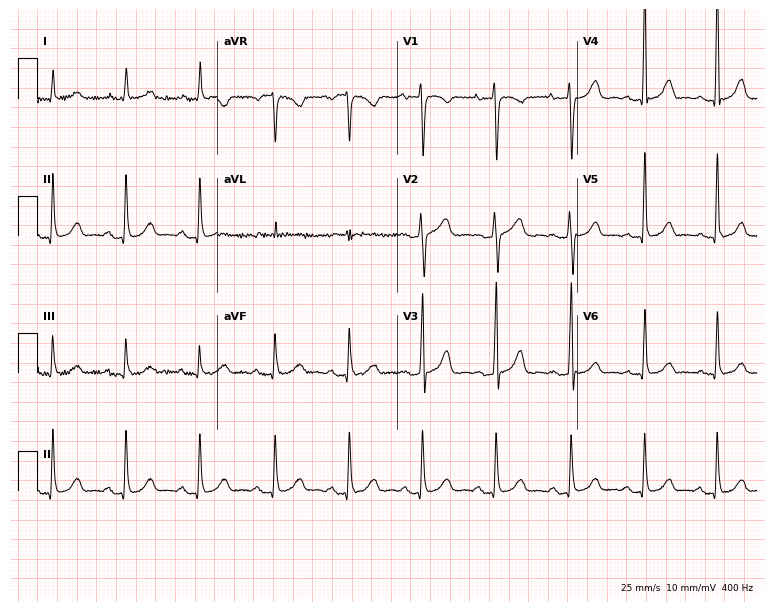
12-lead ECG from a woman, 66 years old. Labelled as a normal ECG.